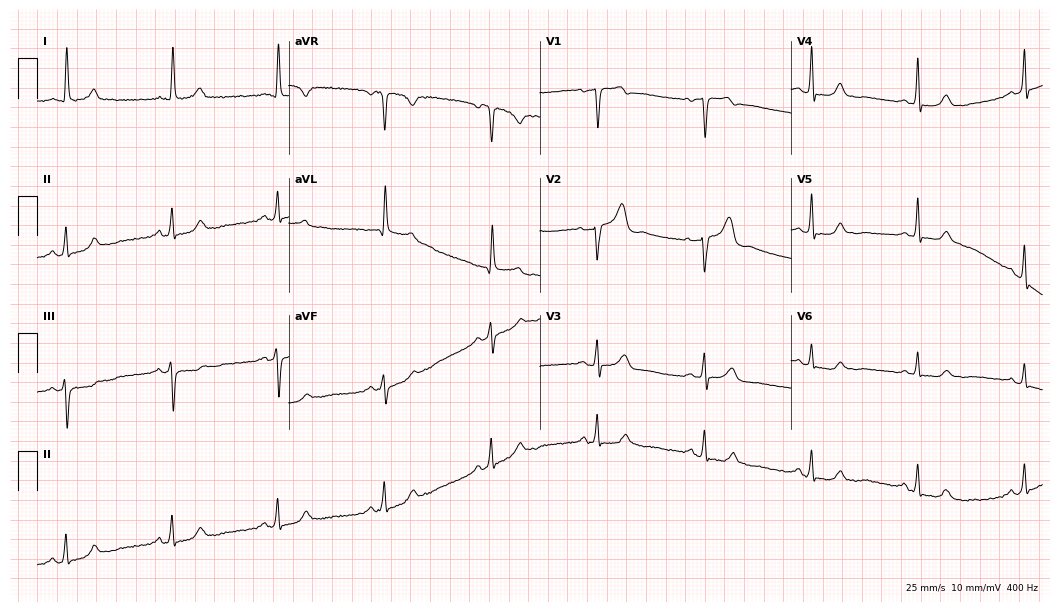
Resting 12-lead electrocardiogram (10.2-second recording at 400 Hz). Patient: an 81-year-old female. Read as a normal ECG.